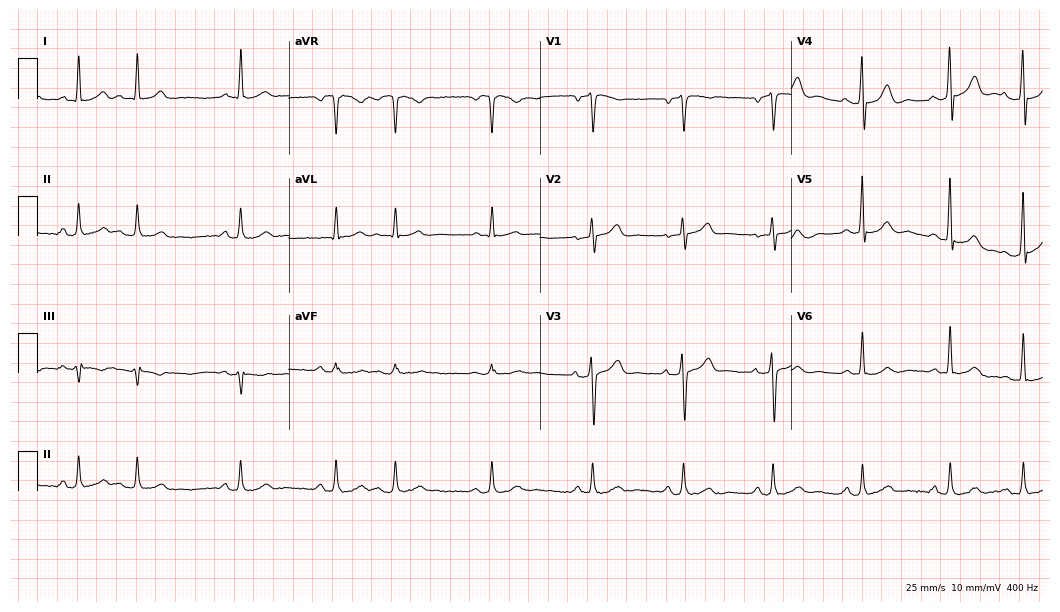
Standard 12-lead ECG recorded from a man, 74 years old (10.2-second recording at 400 Hz). None of these six findings is recorded: first-degree AV block, right bundle branch block, left bundle branch block, sinus bradycardia, atrial fibrillation, sinus tachycardia.